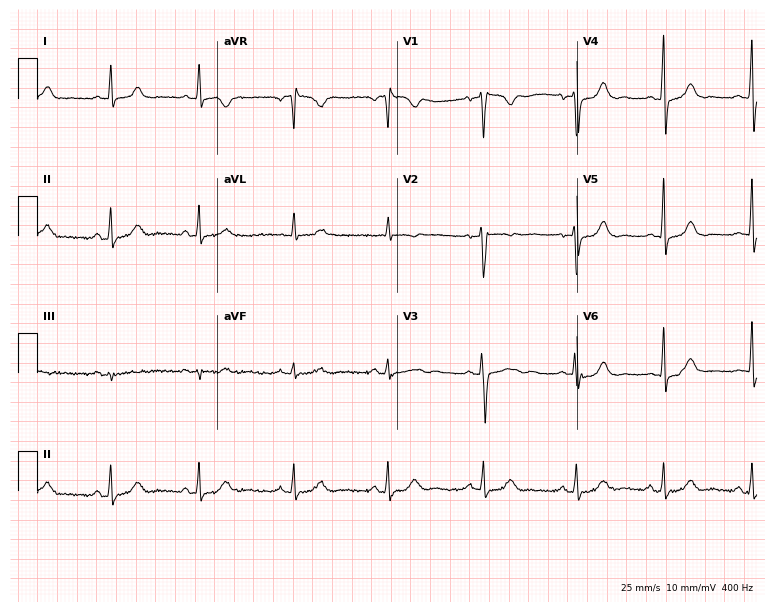
Standard 12-lead ECG recorded from a female patient, 28 years old (7.3-second recording at 400 Hz). None of these six findings is recorded: first-degree AV block, right bundle branch block (RBBB), left bundle branch block (LBBB), sinus bradycardia, atrial fibrillation (AF), sinus tachycardia. Other findings, if any, are not listed.